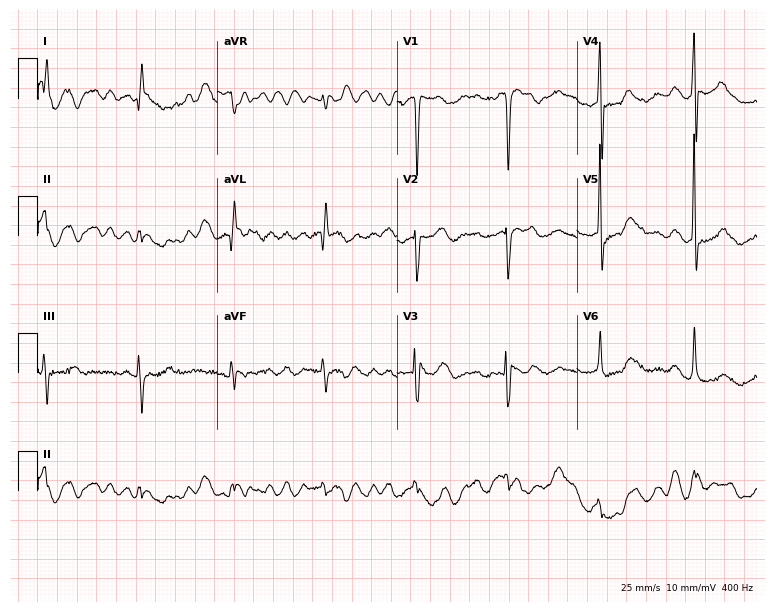
ECG — a female, 79 years old. Screened for six findings — first-degree AV block, right bundle branch block, left bundle branch block, sinus bradycardia, atrial fibrillation, sinus tachycardia — none is recorded.